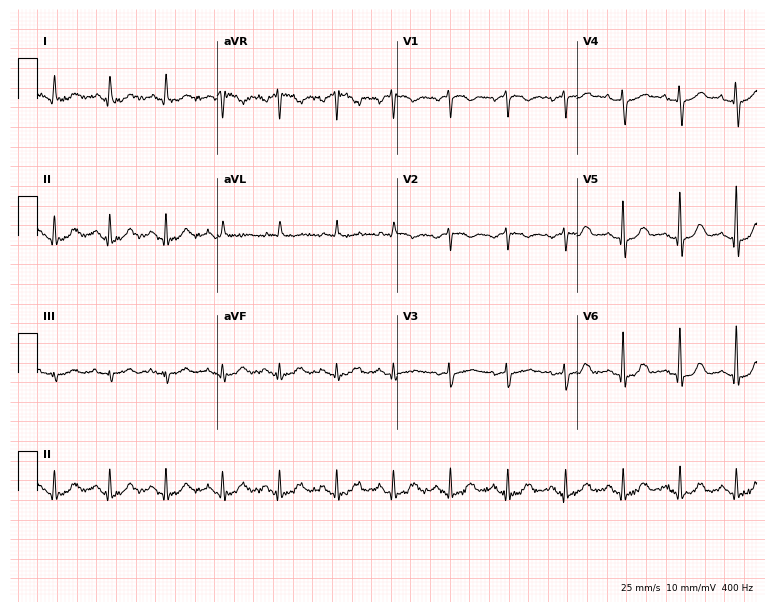
12-lead ECG from a 75-year-old female (7.3-second recording at 400 Hz). Shows sinus tachycardia (a sinus rate of 100 beats per minute or more).